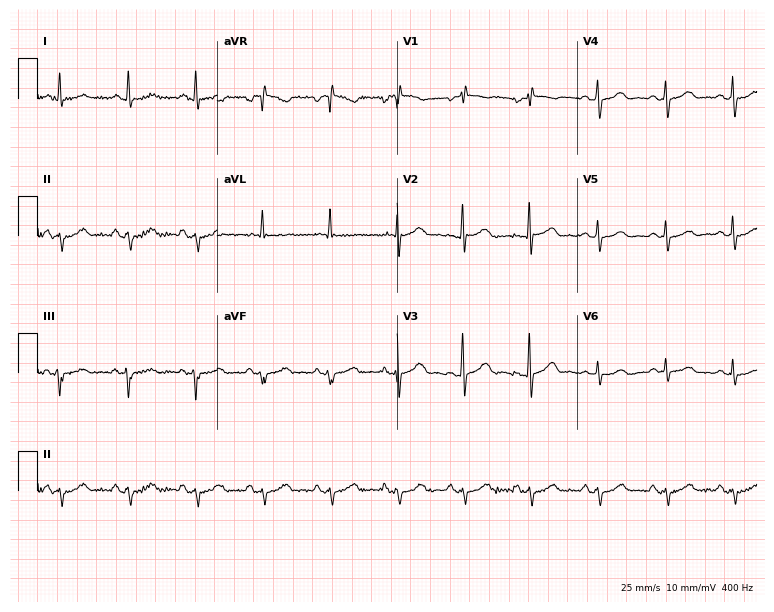
Standard 12-lead ECG recorded from a 56-year-old woman (7.3-second recording at 400 Hz). None of these six findings is recorded: first-degree AV block, right bundle branch block, left bundle branch block, sinus bradycardia, atrial fibrillation, sinus tachycardia.